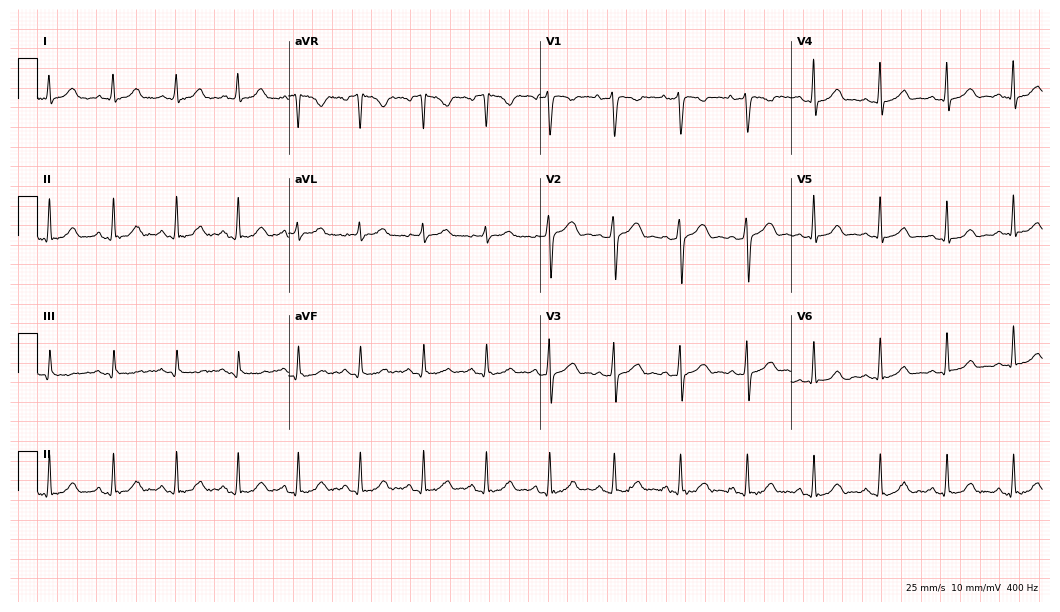
Electrocardiogram (10.2-second recording at 400 Hz), a 28-year-old woman. Overall reading on record: normal ECG.